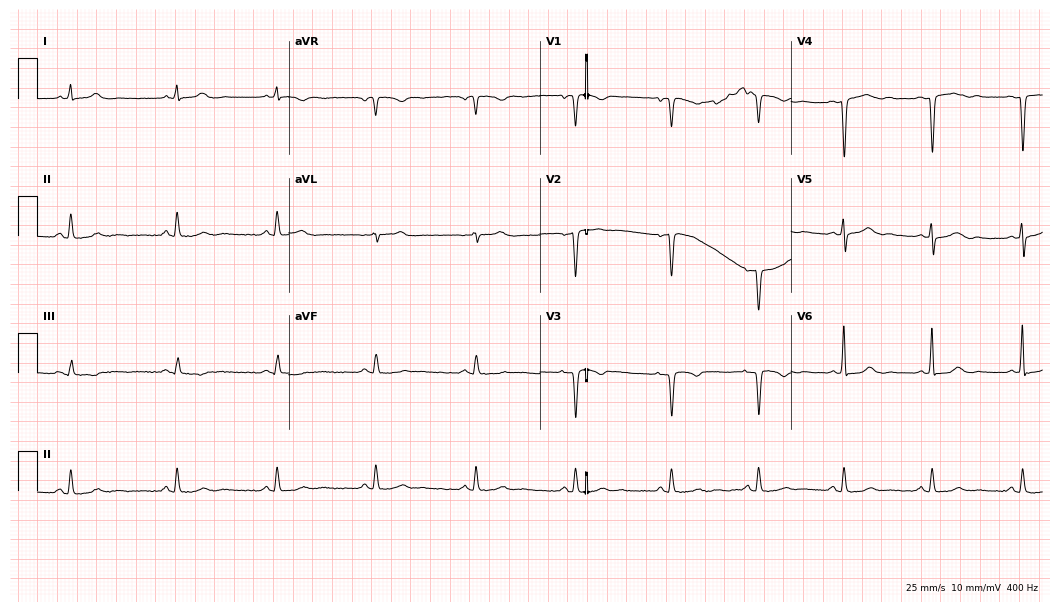
Electrocardiogram, a 42-year-old female patient. Of the six screened findings (first-degree AV block, right bundle branch block, left bundle branch block, sinus bradycardia, atrial fibrillation, sinus tachycardia), none is recorded. Findings outside these six are not listed.